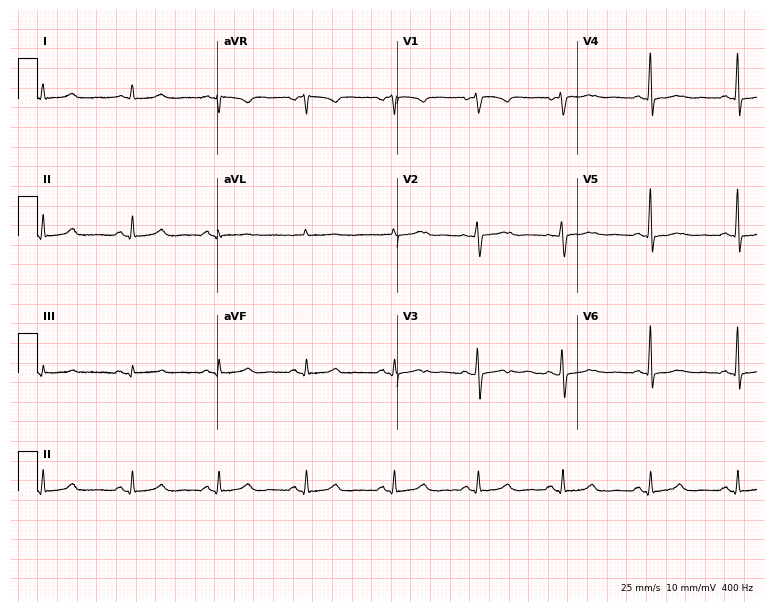
12-lead ECG from a 43-year-old female patient (7.3-second recording at 400 Hz). Recorded interpretation: within normal limits.